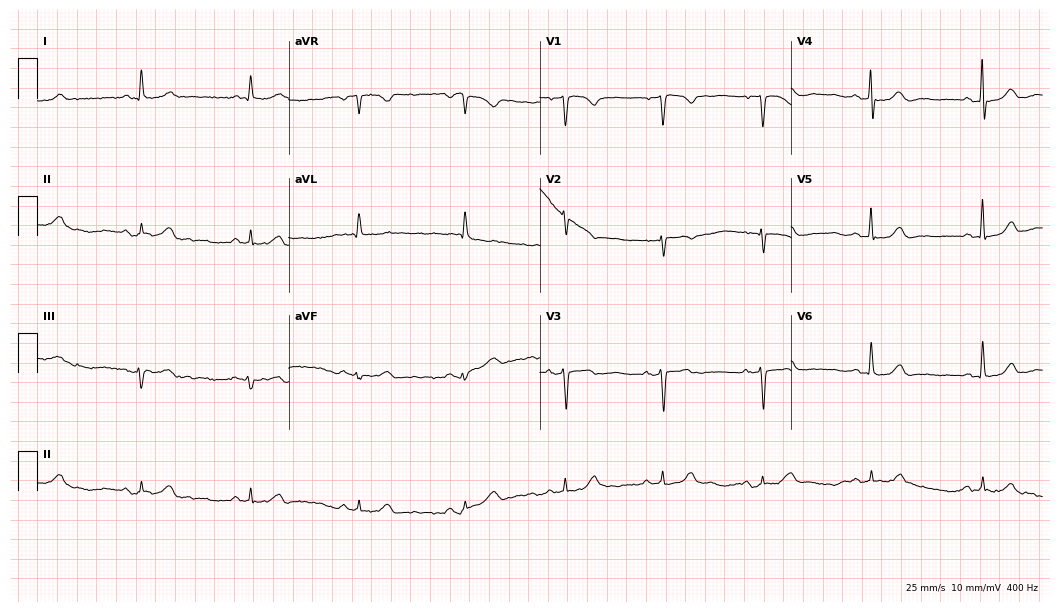
ECG (10.2-second recording at 400 Hz) — a female patient, 76 years old. Labelled as a normal ECG.